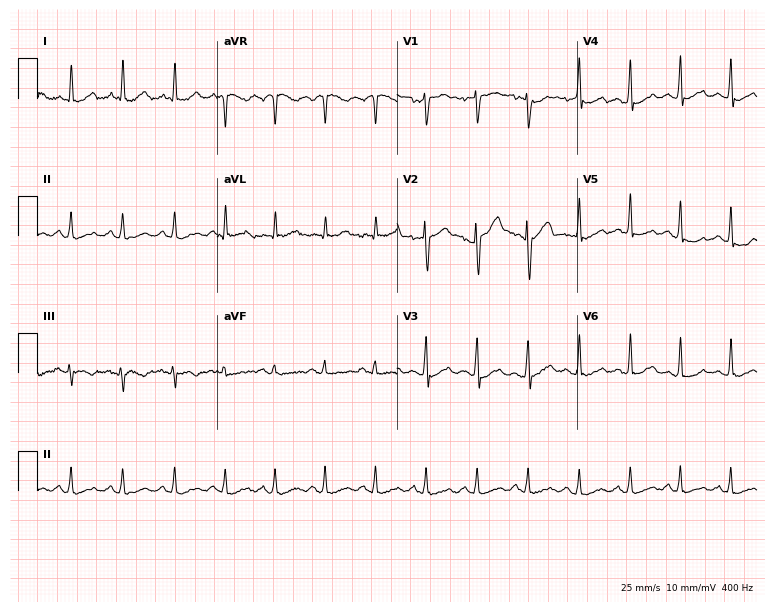
Electrocardiogram, a 50-year-old male patient. Interpretation includes sinus tachycardia (a sinus rate of 100 beats per minute or more).